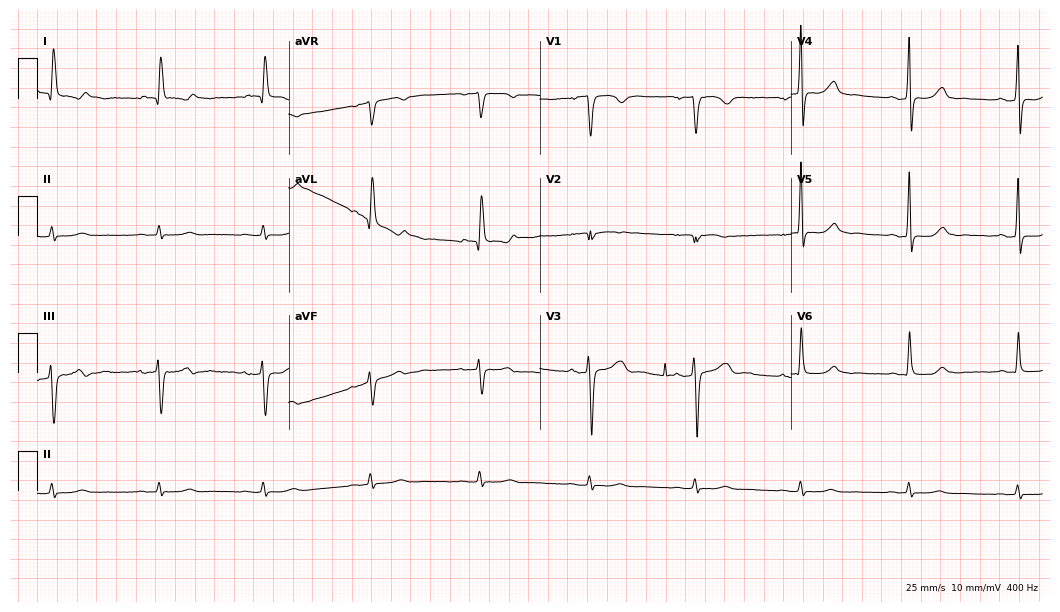
Electrocardiogram (10.2-second recording at 400 Hz), a 68-year-old female. Of the six screened findings (first-degree AV block, right bundle branch block, left bundle branch block, sinus bradycardia, atrial fibrillation, sinus tachycardia), none is recorded. Findings outside these six are not listed.